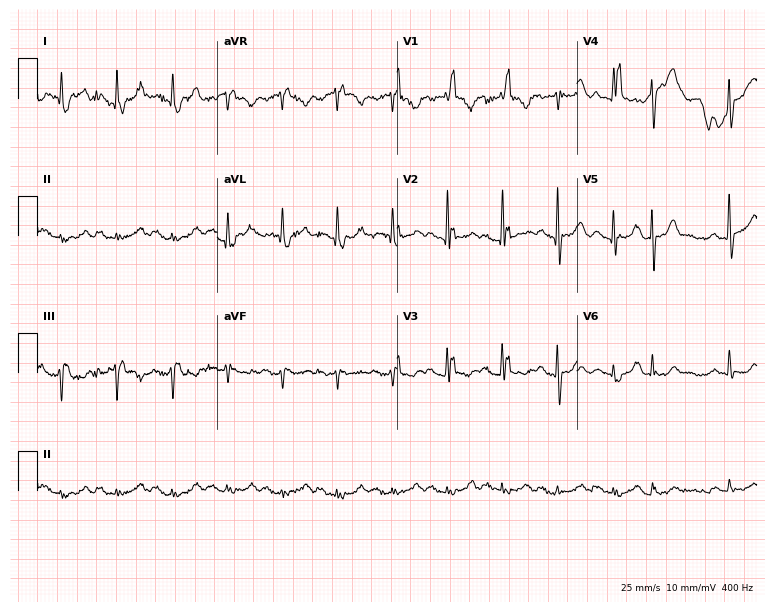
ECG — a male patient, 68 years old. Findings include sinus tachycardia (a sinus rate of 100 beats per minute or more).